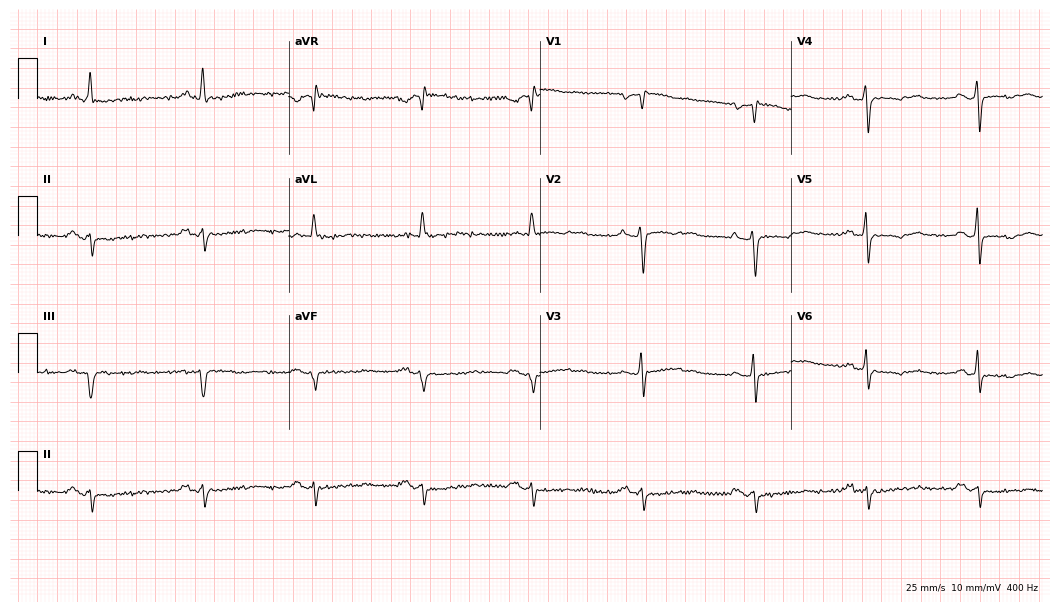
12-lead ECG from a female, 59 years old. No first-degree AV block, right bundle branch block, left bundle branch block, sinus bradycardia, atrial fibrillation or sinus tachycardia recorded for this tracing. Findings outside these six are not listed.